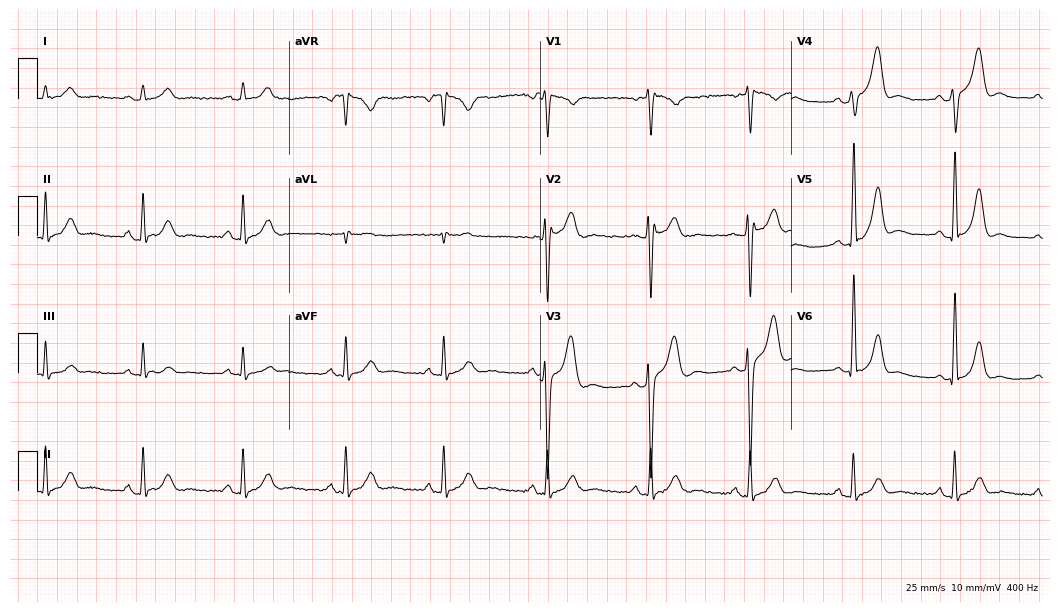
12-lead ECG (10.2-second recording at 400 Hz) from a male, 34 years old. Screened for six findings — first-degree AV block, right bundle branch block, left bundle branch block, sinus bradycardia, atrial fibrillation, sinus tachycardia — none is recorded. Only these six findings were labelled.